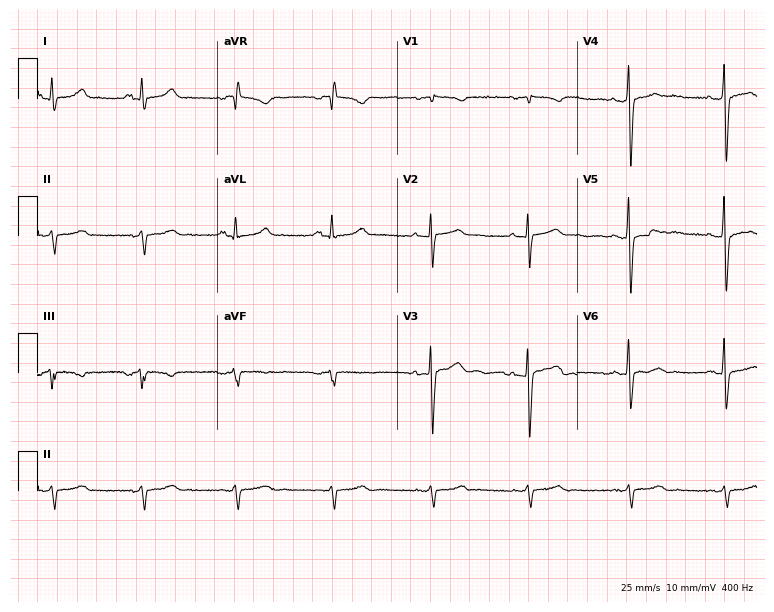
12-lead ECG from a man, 49 years old. No first-degree AV block, right bundle branch block, left bundle branch block, sinus bradycardia, atrial fibrillation or sinus tachycardia recorded for this tracing.